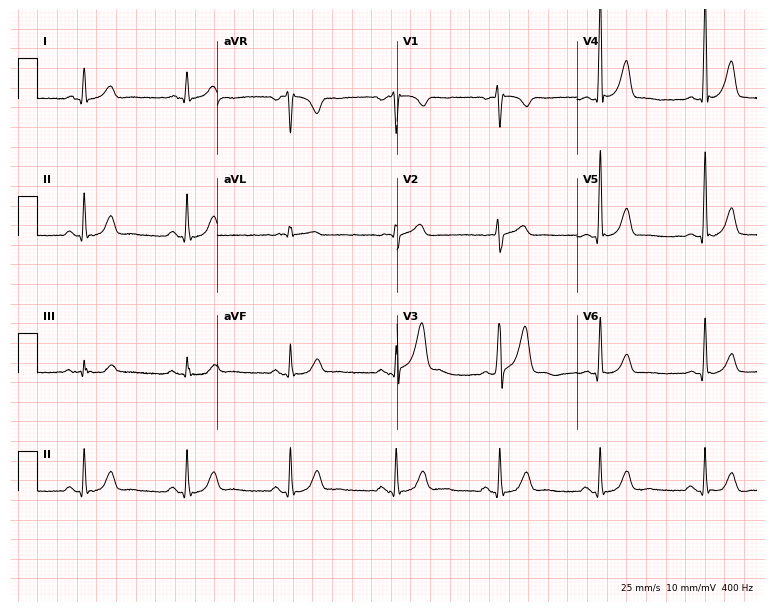
ECG (7.3-second recording at 400 Hz) — a 47-year-old male patient. Labelled as a normal ECG.